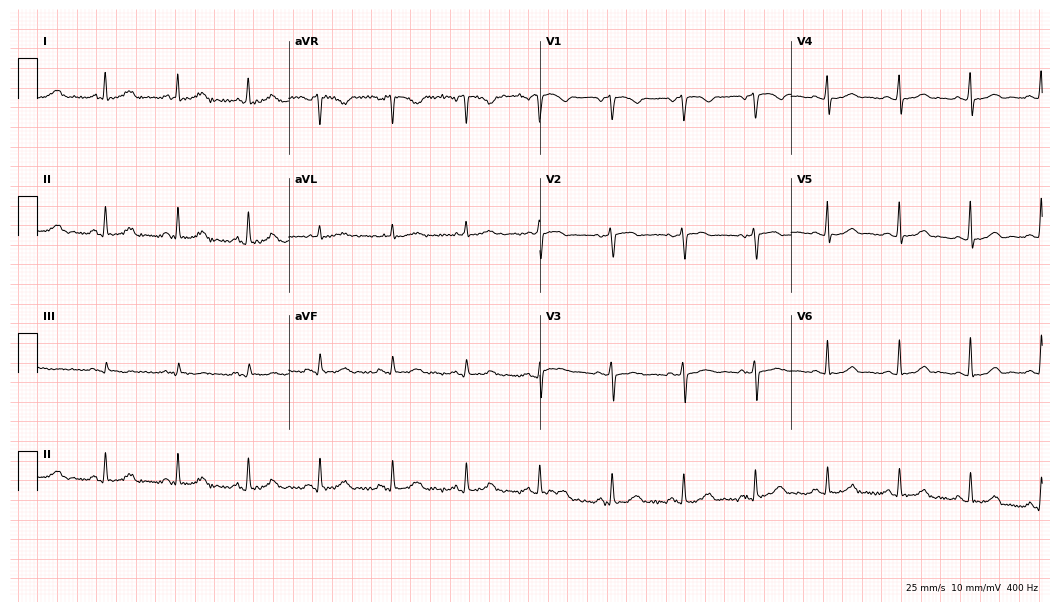
12-lead ECG from a female patient, 59 years old. Labelled as a normal ECG.